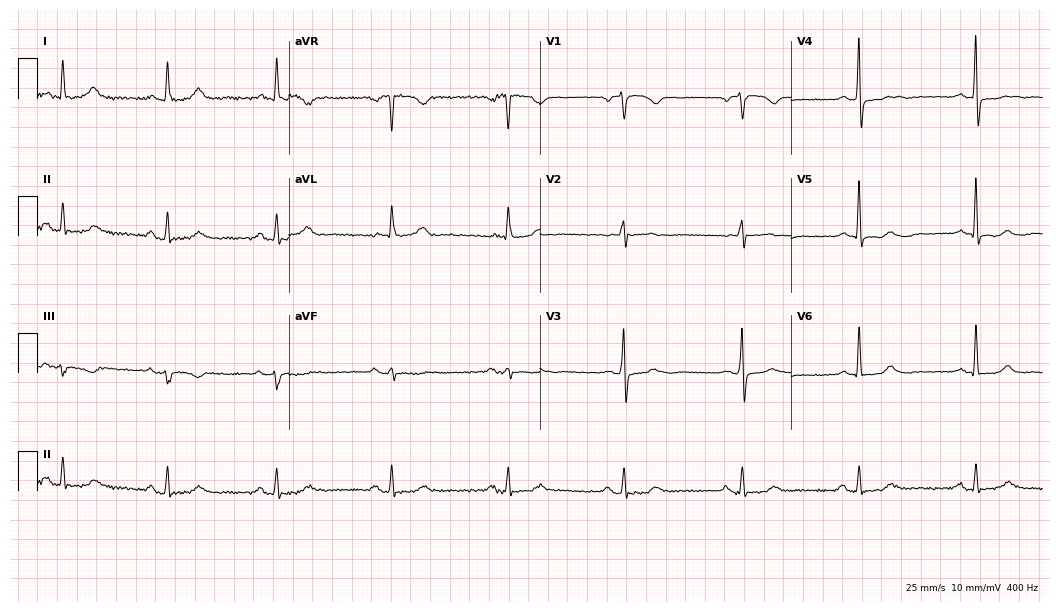
12-lead ECG (10.2-second recording at 400 Hz) from a 73-year-old female patient. Screened for six findings — first-degree AV block, right bundle branch block (RBBB), left bundle branch block (LBBB), sinus bradycardia, atrial fibrillation (AF), sinus tachycardia — none is recorded.